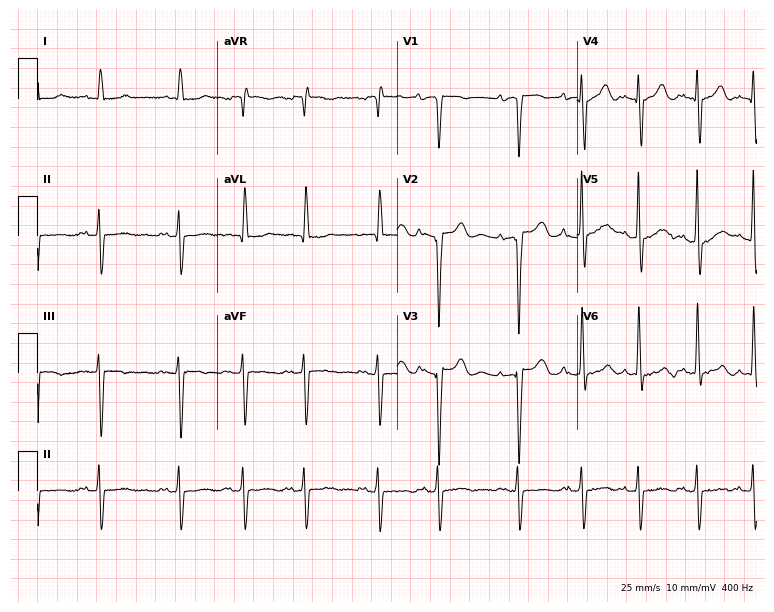
Electrocardiogram, a female, 81 years old. Of the six screened findings (first-degree AV block, right bundle branch block, left bundle branch block, sinus bradycardia, atrial fibrillation, sinus tachycardia), none is recorded.